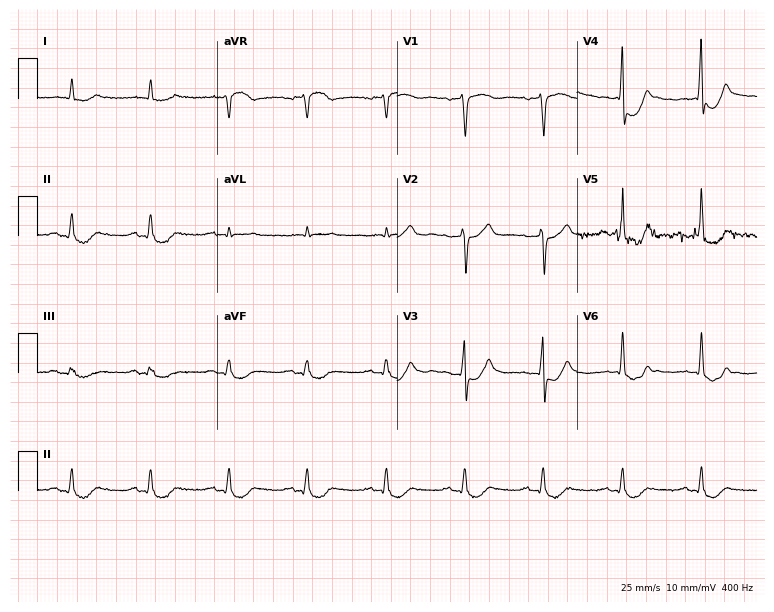
ECG (7.3-second recording at 400 Hz) — a 79-year-old male patient. Screened for six findings — first-degree AV block, right bundle branch block, left bundle branch block, sinus bradycardia, atrial fibrillation, sinus tachycardia — none is recorded.